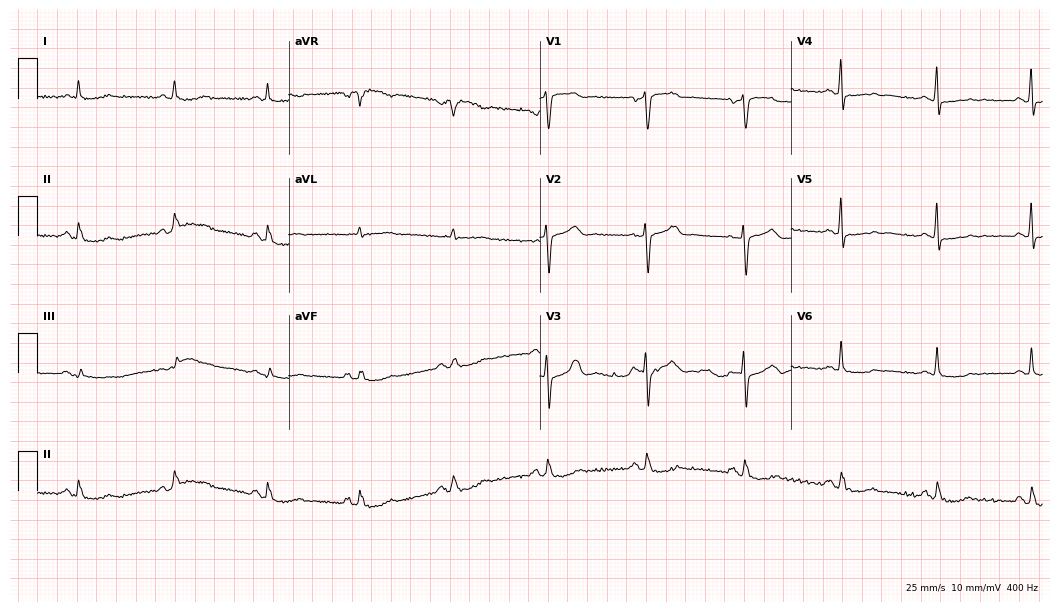
12-lead ECG from a male patient, 72 years old. Screened for six findings — first-degree AV block, right bundle branch block (RBBB), left bundle branch block (LBBB), sinus bradycardia, atrial fibrillation (AF), sinus tachycardia — none is recorded. Other findings, if any, are not listed.